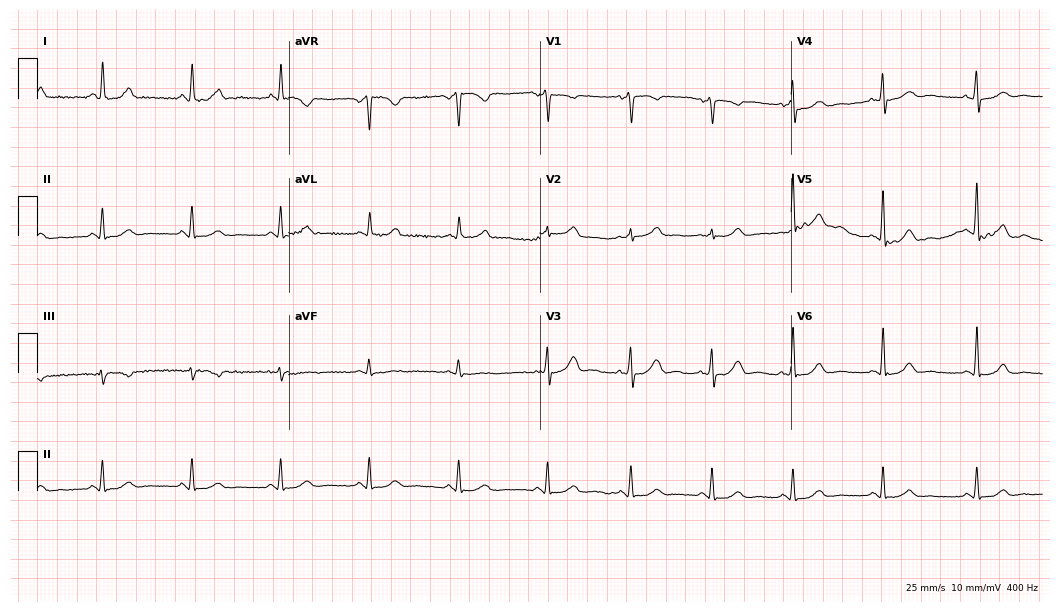
Resting 12-lead electrocardiogram. Patient: a female, 45 years old. Read as a normal ECG.